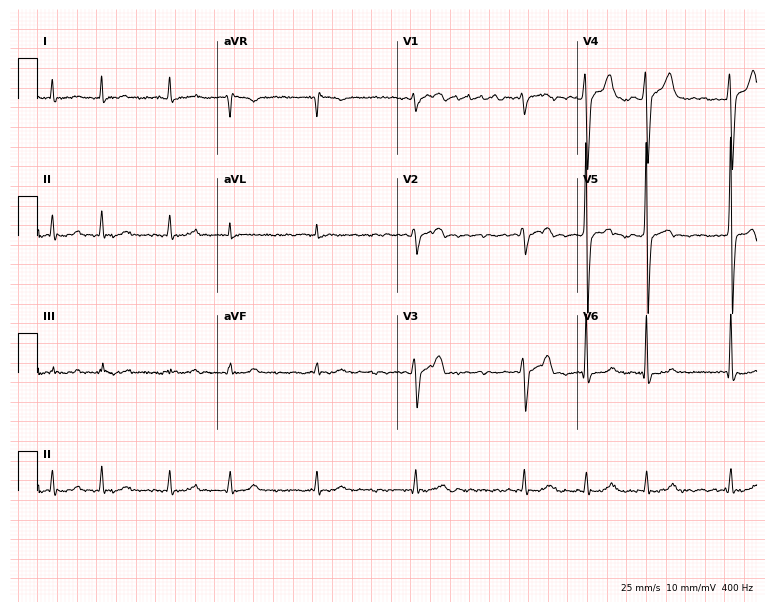
12-lead ECG from a man, 39 years old. Findings include atrial fibrillation.